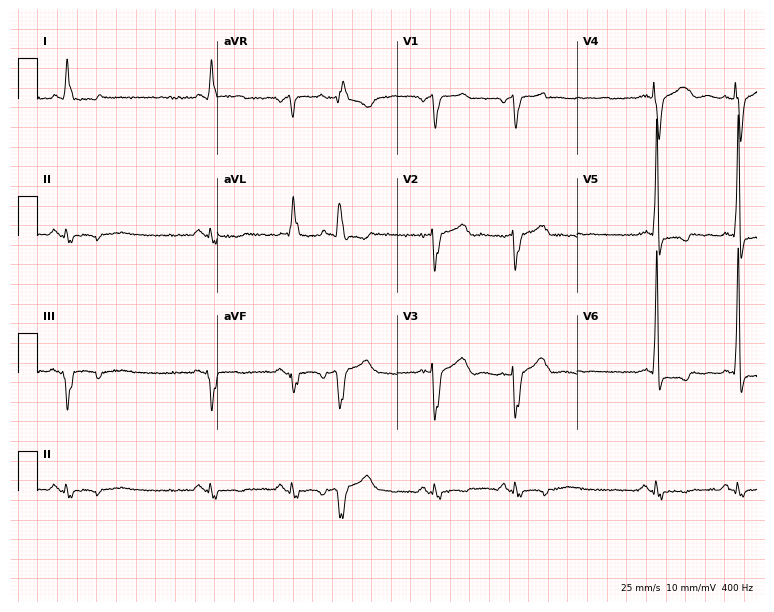
Standard 12-lead ECG recorded from an 82-year-old male patient (7.3-second recording at 400 Hz). None of these six findings is recorded: first-degree AV block, right bundle branch block (RBBB), left bundle branch block (LBBB), sinus bradycardia, atrial fibrillation (AF), sinus tachycardia. Only these six findings were labelled.